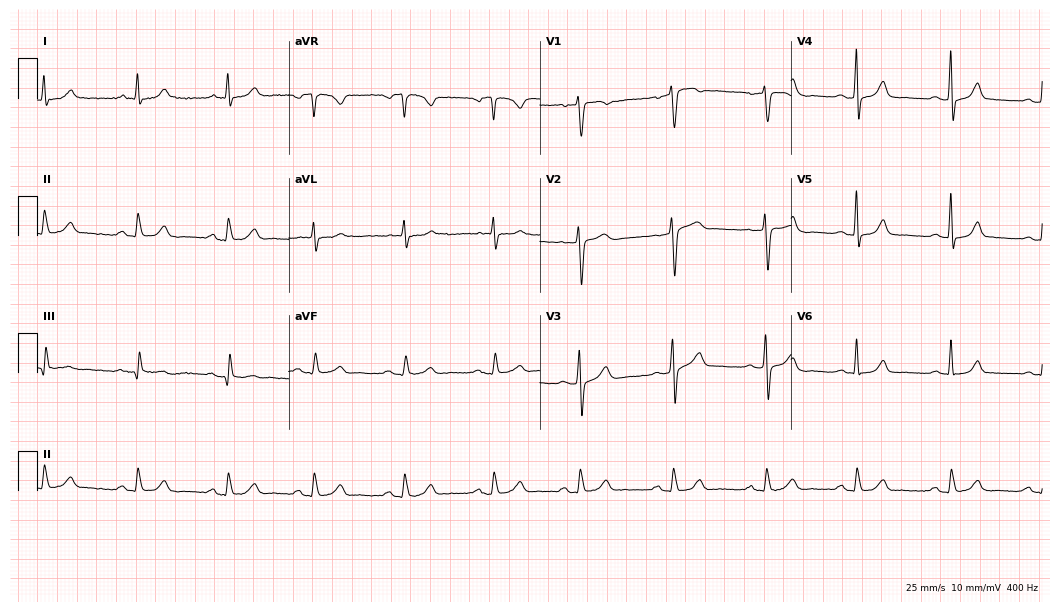
12-lead ECG from a 49-year-old woman. Screened for six findings — first-degree AV block, right bundle branch block, left bundle branch block, sinus bradycardia, atrial fibrillation, sinus tachycardia — none is recorded. Findings outside these six are not listed.